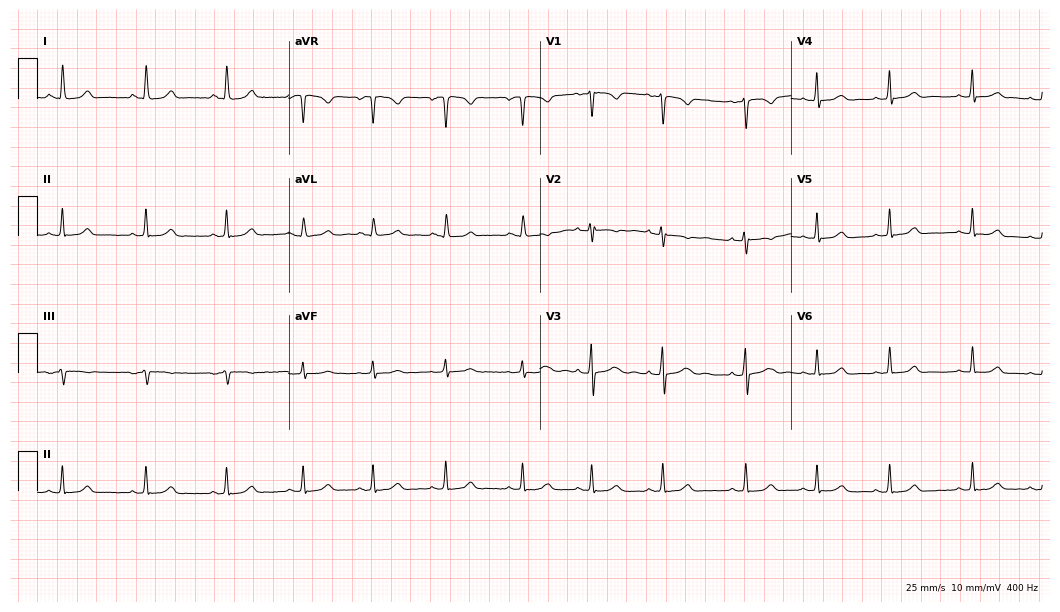
ECG — a 17-year-old woman. Labelled as a normal ECG.